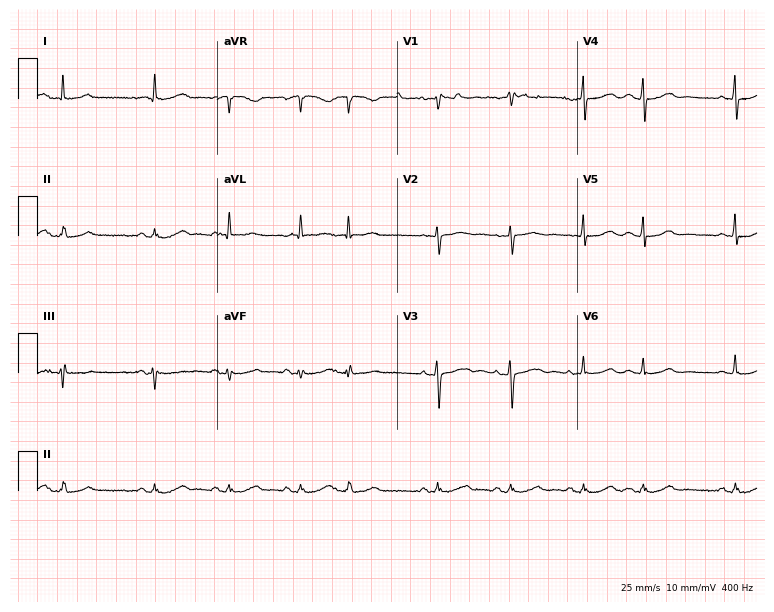
ECG (7.3-second recording at 400 Hz) — a 70-year-old female. Labelled as a normal ECG.